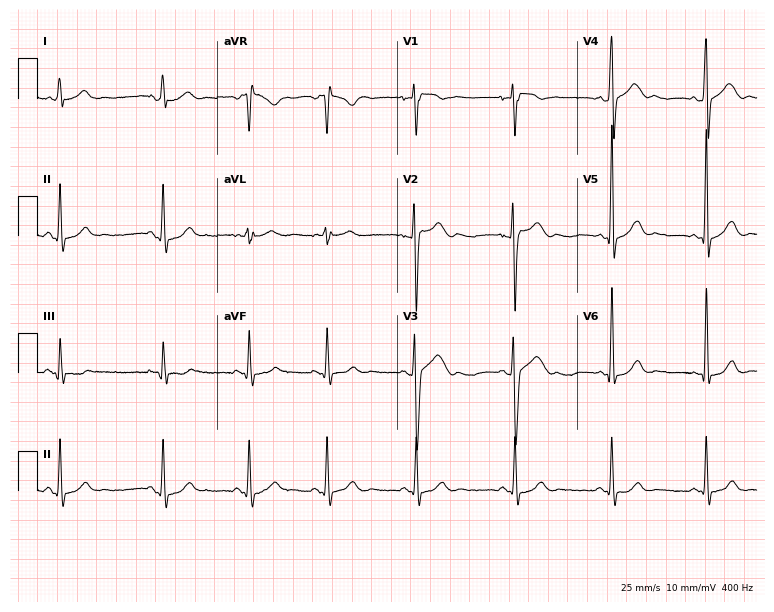
12-lead ECG from a male, 20 years old. Recorded interpretation: within normal limits.